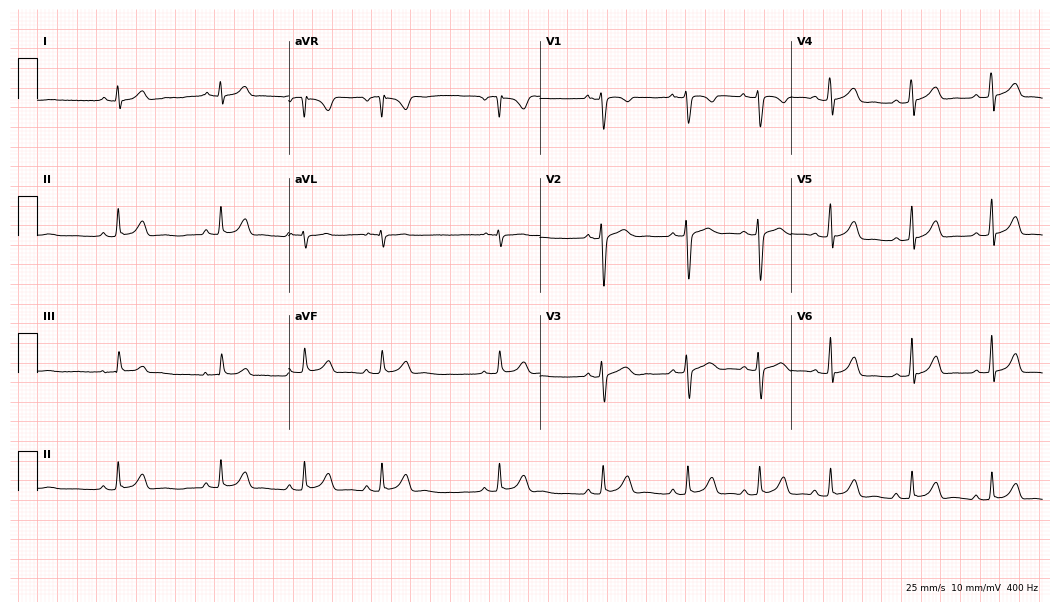
Electrocardiogram (10.2-second recording at 400 Hz), a 20-year-old female. Overall reading on record: normal ECG.